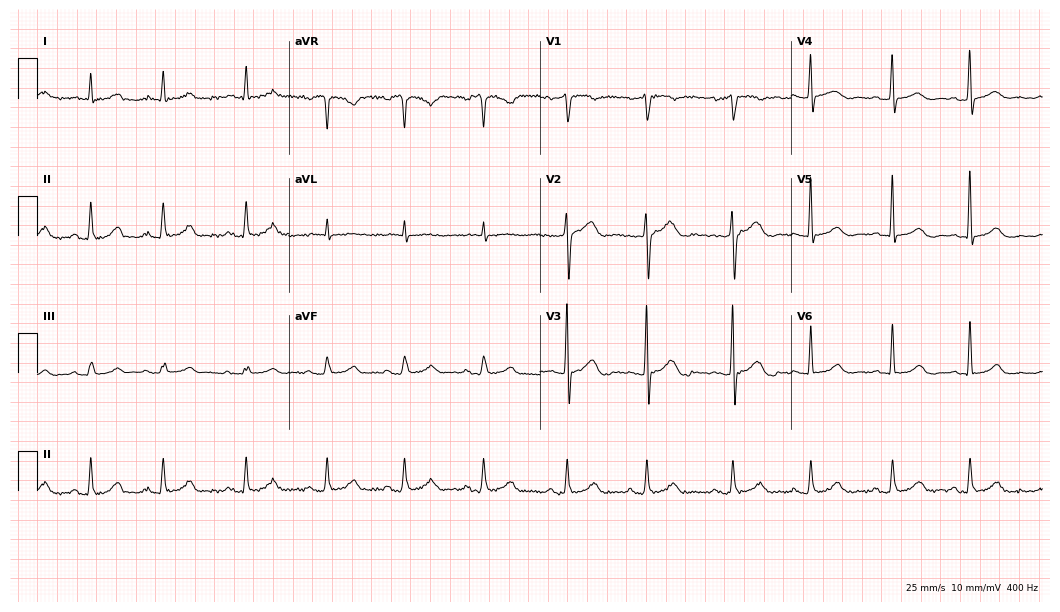
Electrocardiogram (10.2-second recording at 400 Hz), a 56-year-old woman. Of the six screened findings (first-degree AV block, right bundle branch block (RBBB), left bundle branch block (LBBB), sinus bradycardia, atrial fibrillation (AF), sinus tachycardia), none is recorded.